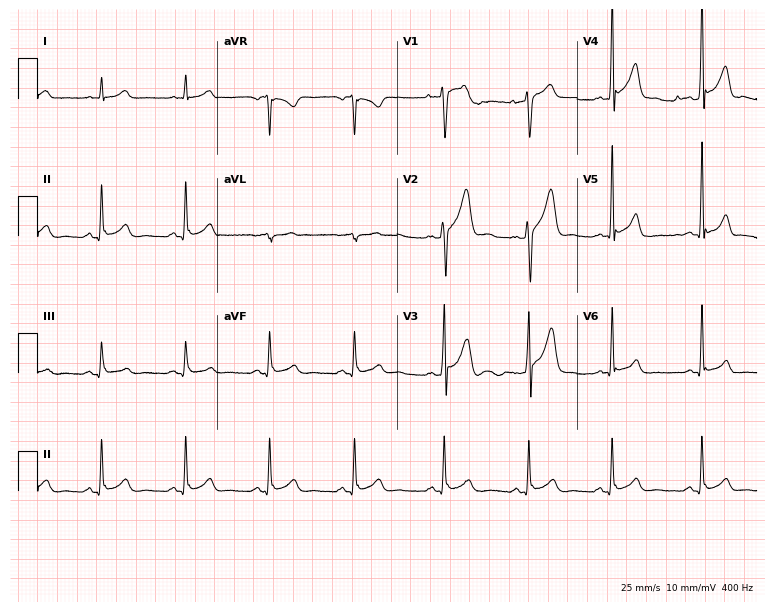
12-lead ECG from a 25-year-old man (7.3-second recording at 400 Hz). No first-degree AV block, right bundle branch block, left bundle branch block, sinus bradycardia, atrial fibrillation or sinus tachycardia recorded for this tracing. Findings outside these six are not listed.